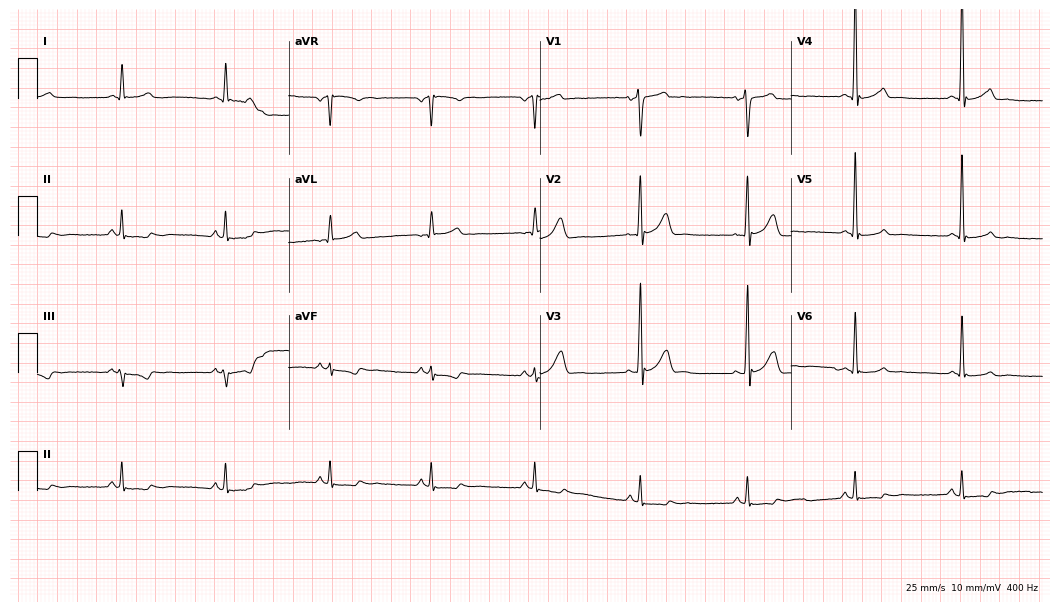
12-lead ECG from a male patient, 39 years old. No first-degree AV block, right bundle branch block (RBBB), left bundle branch block (LBBB), sinus bradycardia, atrial fibrillation (AF) or sinus tachycardia recorded for this tracing. Only these six findings were labelled.